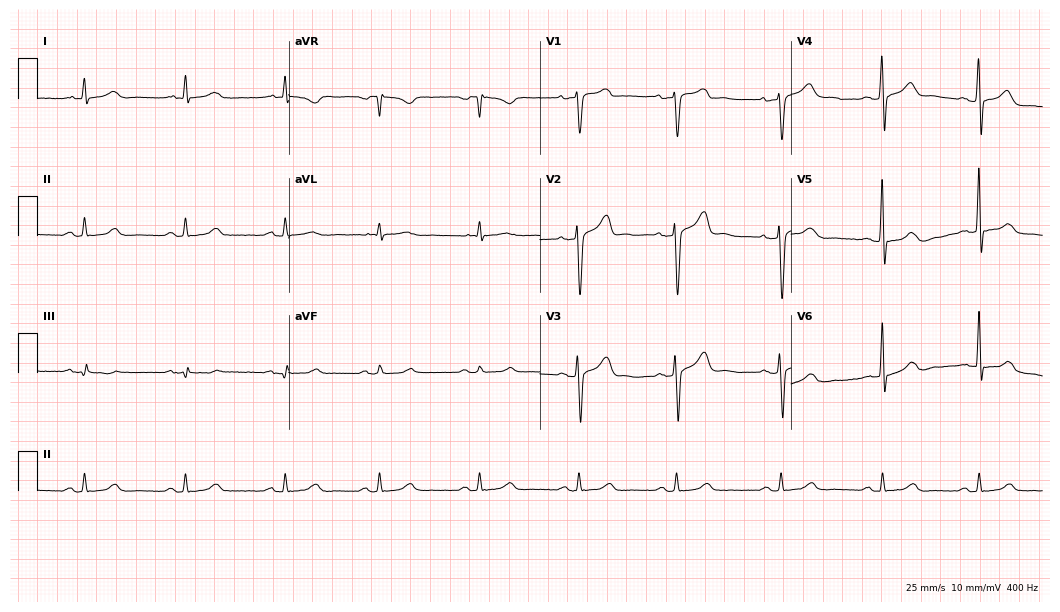
Resting 12-lead electrocardiogram (10.2-second recording at 400 Hz). Patient: a man, 50 years old. Read as a normal ECG.